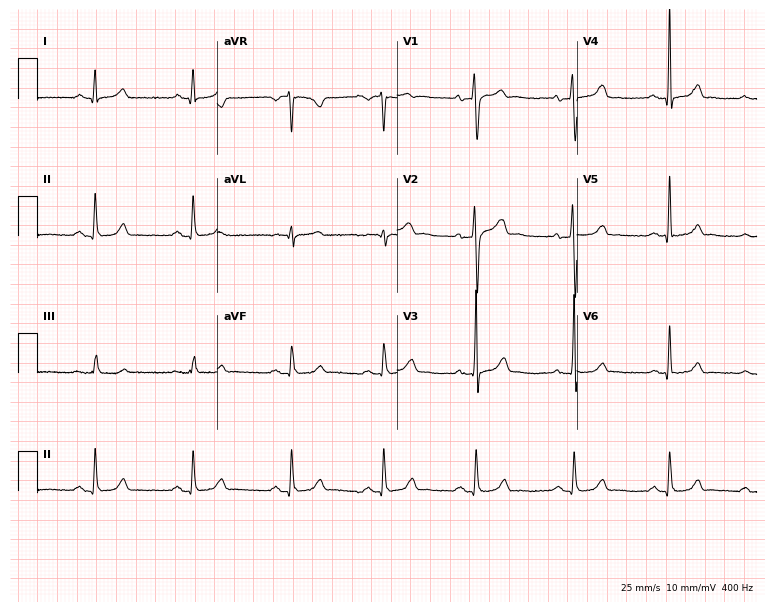
Standard 12-lead ECG recorded from a 41-year-old male patient (7.3-second recording at 400 Hz). None of these six findings is recorded: first-degree AV block, right bundle branch block, left bundle branch block, sinus bradycardia, atrial fibrillation, sinus tachycardia.